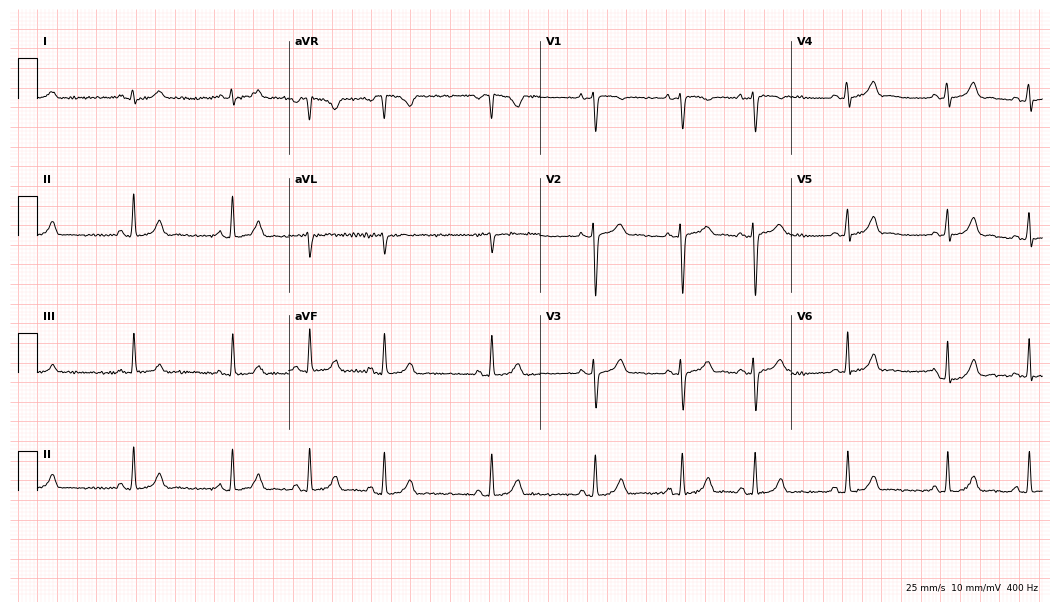
Standard 12-lead ECG recorded from a woman, 18 years old. Read as a normal ECG.